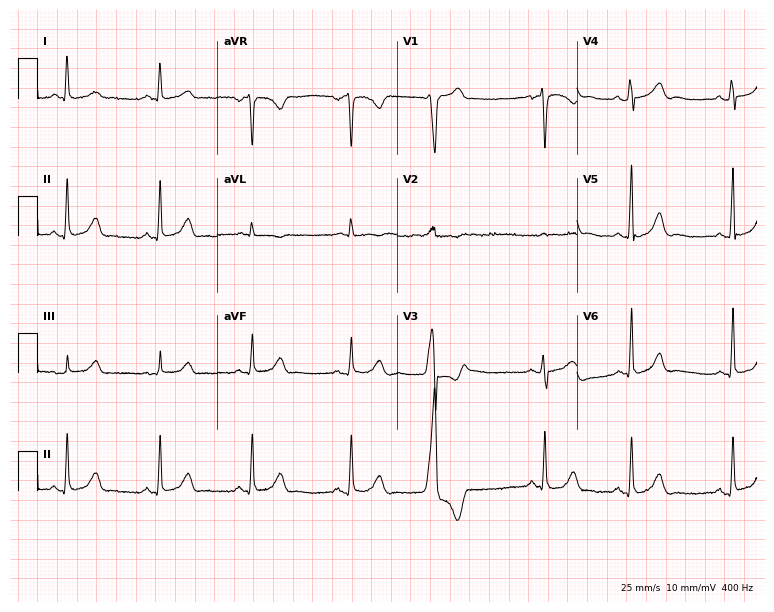
12-lead ECG from a woman, 35 years old. No first-degree AV block, right bundle branch block, left bundle branch block, sinus bradycardia, atrial fibrillation or sinus tachycardia recorded for this tracing. Only these six findings were labelled.